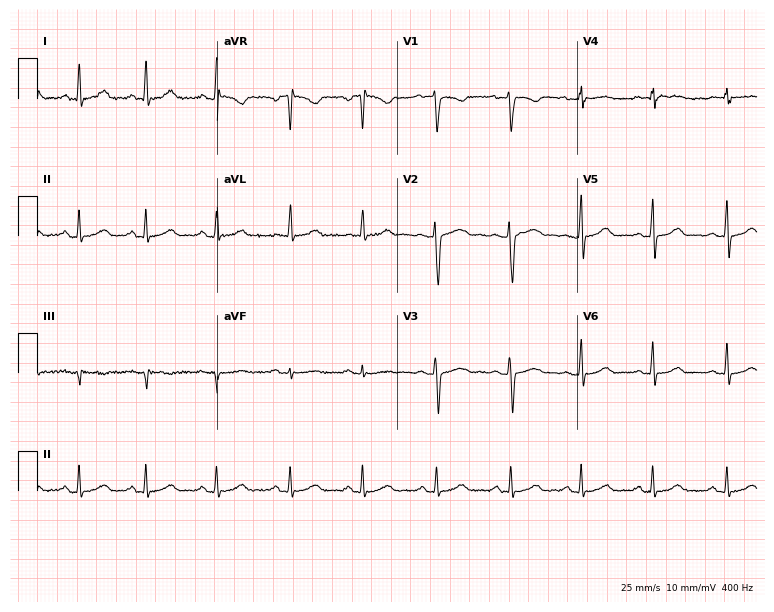
12-lead ECG from a female, 32 years old. Labelled as a normal ECG.